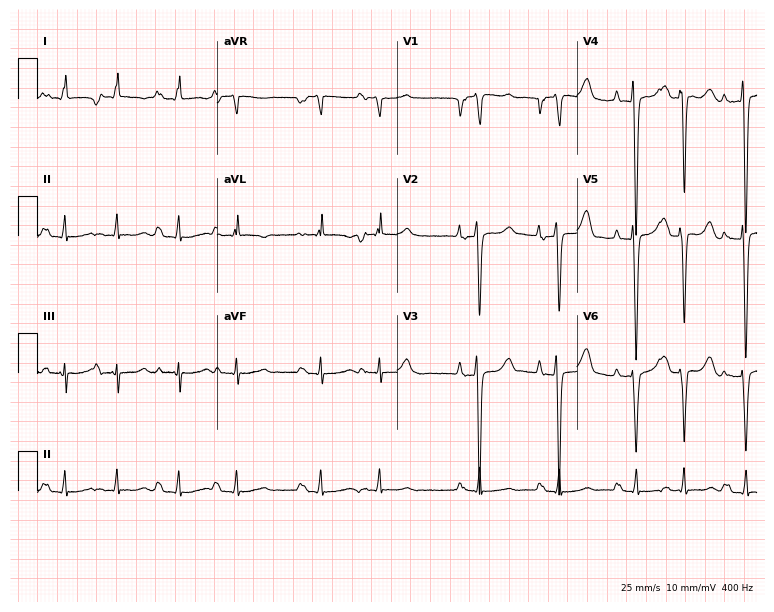
Standard 12-lead ECG recorded from a male patient, 41 years old. None of these six findings is recorded: first-degree AV block, right bundle branch block, left bundle branch block, sinus bradycardia, atrial fibrillation, sinus tachycardia.